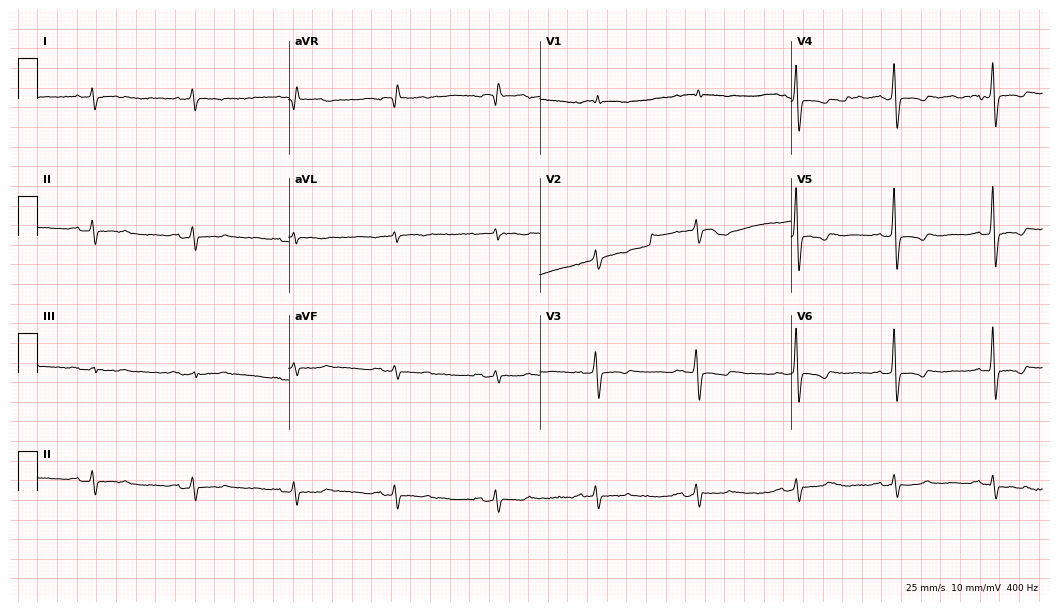
Electrocardiogram (10.2-second recording at 400 Hz), an 82-year-old female. Of the six screened findings (first-degree AV block, right bundle branch block (RBBB), left bundle branch block (LBBB), sinus bradycardia, atrial fibrillation (AF), sinus tachycardia), none is recorded. Other findings, if any, are not listed.